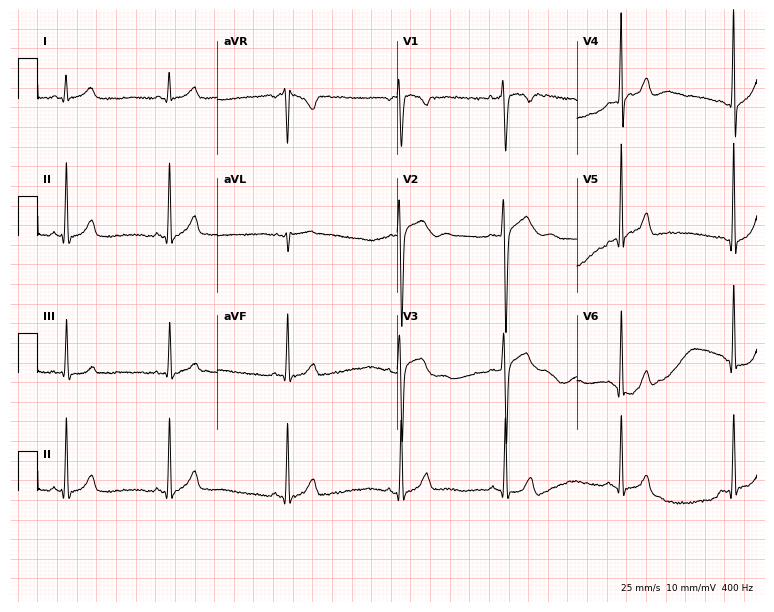
ECG — a male, 20 years old. Screened for six findings — first-degree AV block, right bundle branch block, left bundle branch block, sinus bradycardia, atrial fibrillation, sinus tachycardia — none is recorded. Other findings, if any, are not listed.